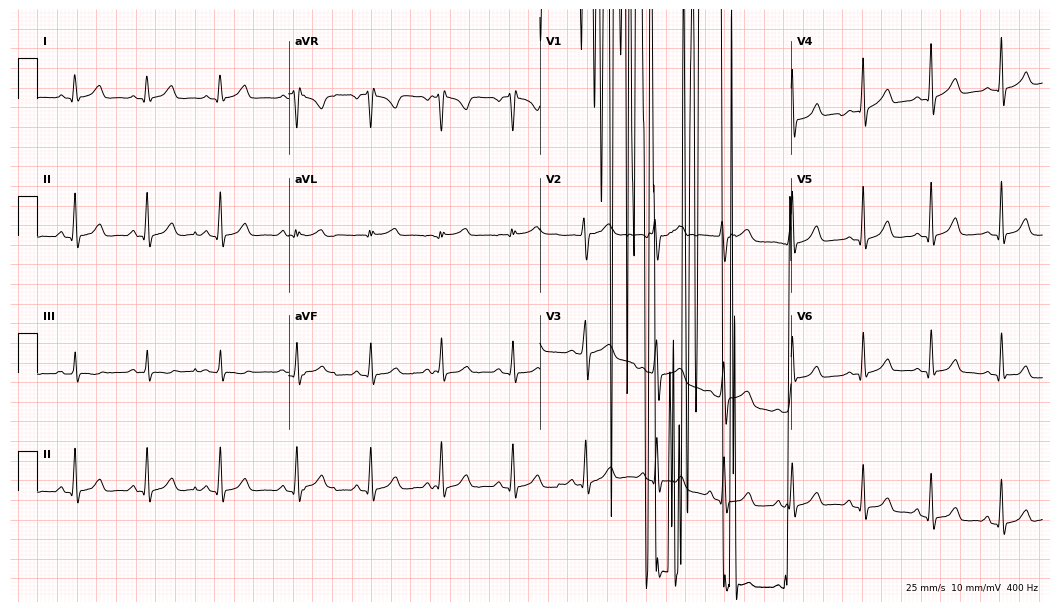
Electrocardiogram (10.2-second recording at 400 Hz), a female, 17 years old. Of the six screened findings (first-degree AV block, right bundle branch block (RBBB), left bundle branch block (LBBB), sinus bradycardia, atrial fibrillation (AF), sinus tachycardia), none is recorded.